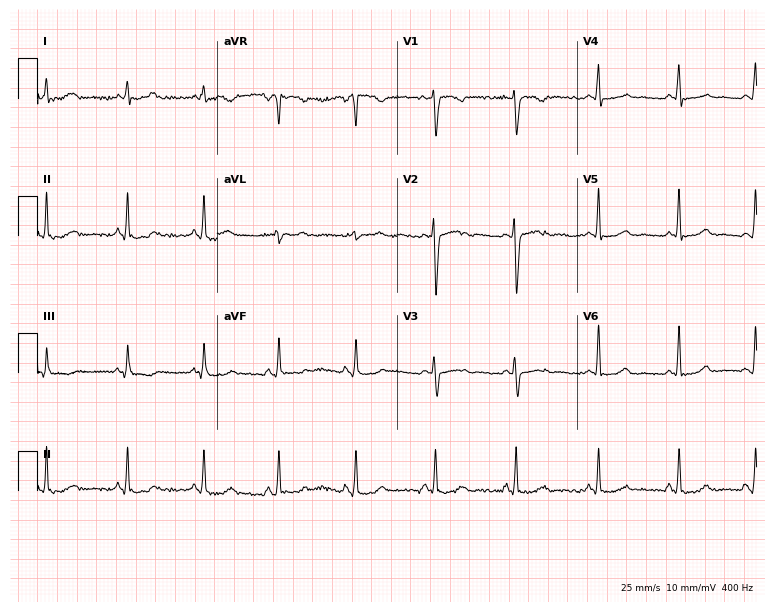
Standard 12-lead ECG recorded from a female patient, 34 years old (7.3-second recording at 400 Hz). None of these six findings is recorded: first-degree AV block, right bundle branch block, left bundle branch block, sinus bradycardia, atrial fibrillation, sinus tachycardia.